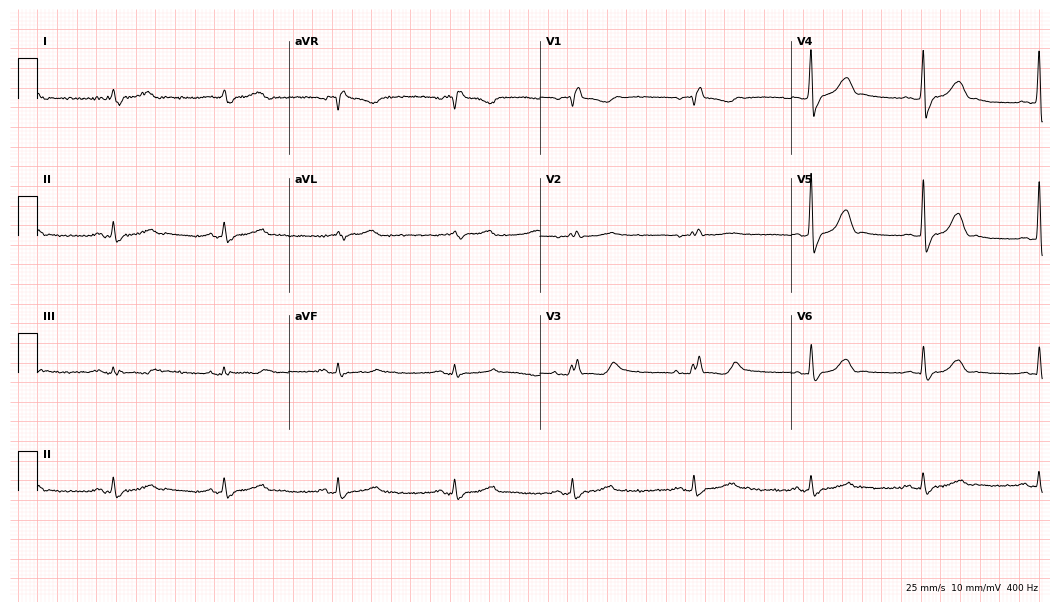
Standard 12-lead ECG recorded from a woman, 60 years old (10.2-second recording at 400 Hz). The tracing shows right bundle branch block.